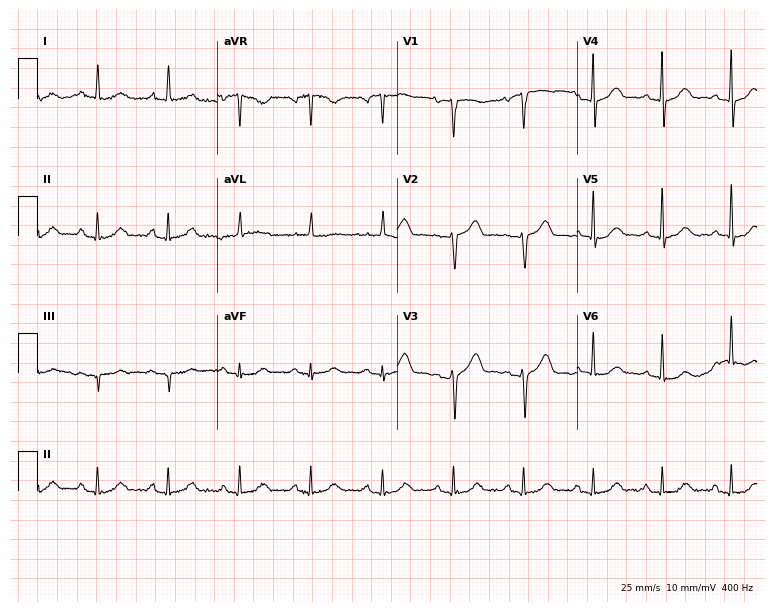
ECG (7.3-second recording at 400 Hz) — an 84-year-old man. Screened for six findings — first-degree AV block, right bundle branch block (RBBB), left bundle branch block (LBBB), sinus bradycardia, atrial fibrillation (AF), sinus tachycardia — none is recorded.